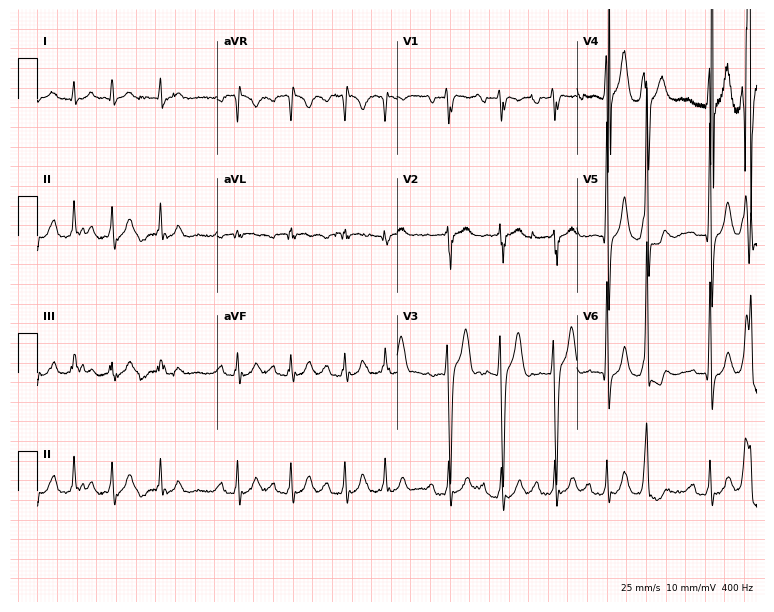
12-lead ECG from a male, 61 years old. No first-degree AV block, right bundle branch block (RBBB), left bundle branch block (LBBB), sinus bradycardia, atrial fibrillation (AF) or sinus tachycardia recorded for this tracing. Other findings, if any, are not listed.